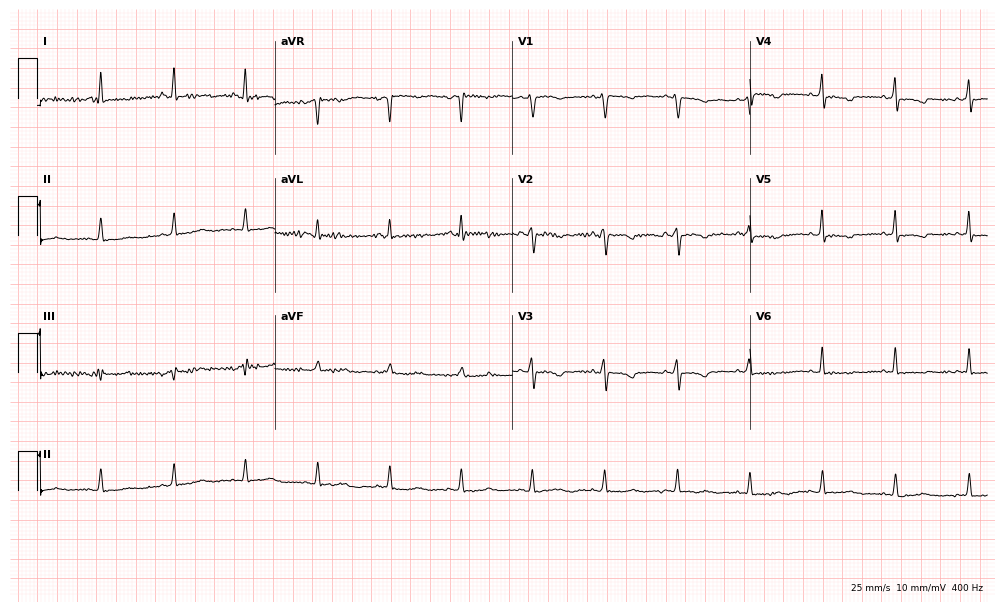
Standard 12-lead ECG recorded from a woman, 48 years old (9.7-second recording at 400 Hz). None of these six findings is recorded: first-degree AV block, right bundle branch block, left bundle branch block, sinus bradycardia, atrial fibrillation, sinus tachycardia. Only these six findings were labelled.